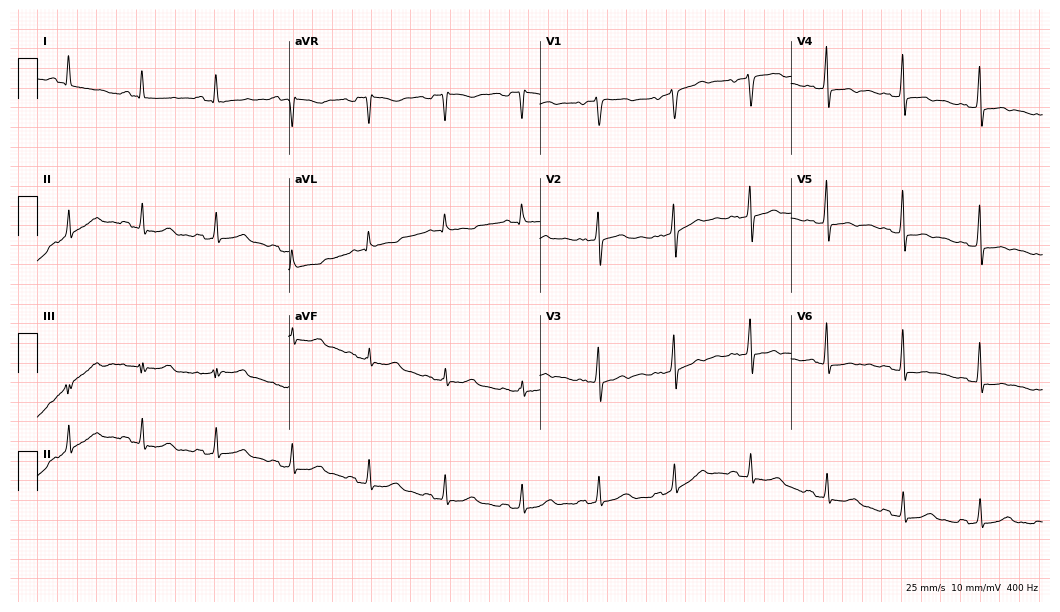
Resting 12-lead electrocardiogram (10.2-second recording at 400 Hz). Patient: a 62-year-old woman. Read as a normal ECG.